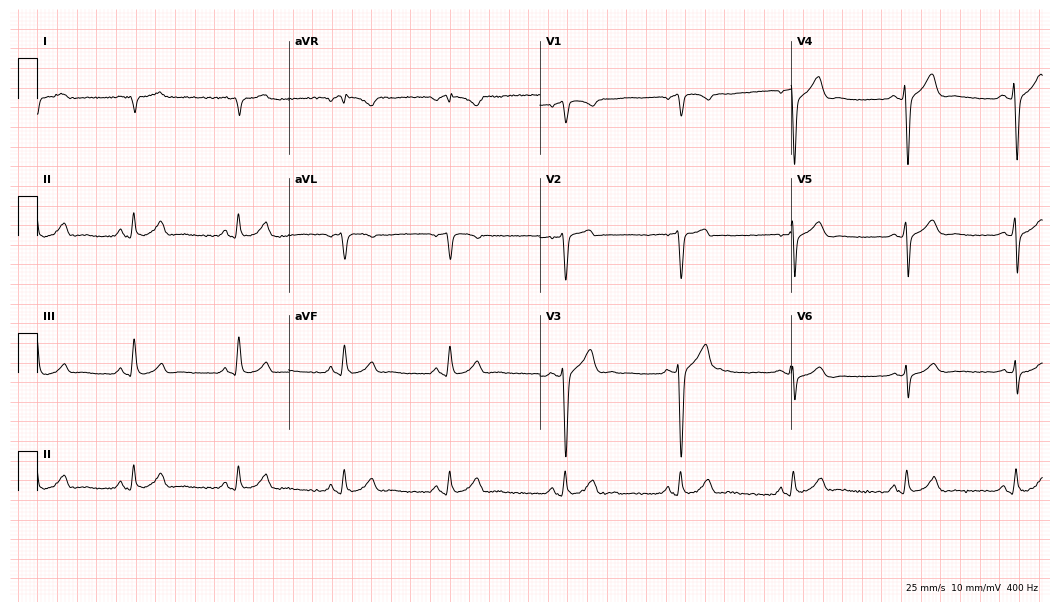
Resting 12-lead electrocardiogram (10.2-second recording at 400 Hz). Patient: a male, 40 years old. None of these six findings is recorded: first-degree AV block, right bundle branch block, left bundle branch block, sinus bradycardia, atrial fibrillation, sinus tachycardia.